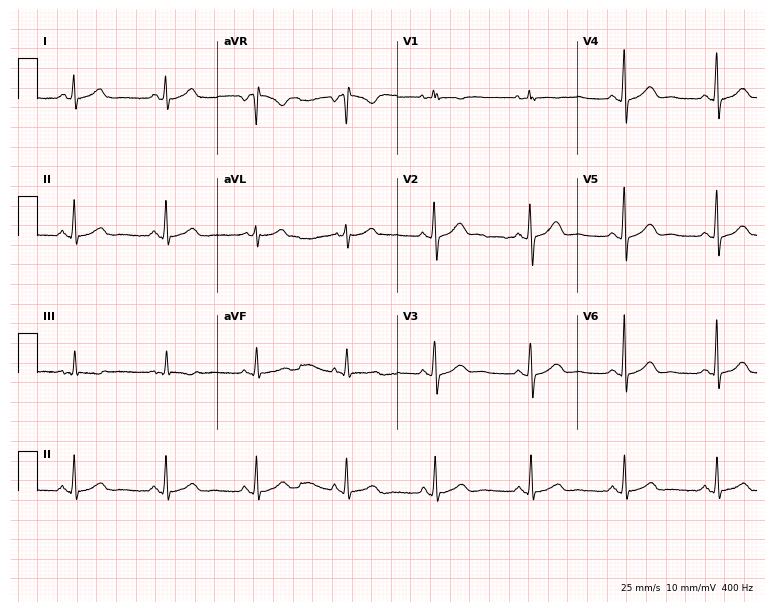
12-lead ECG from a female, 55 years old. Labelled as a normal ECG.